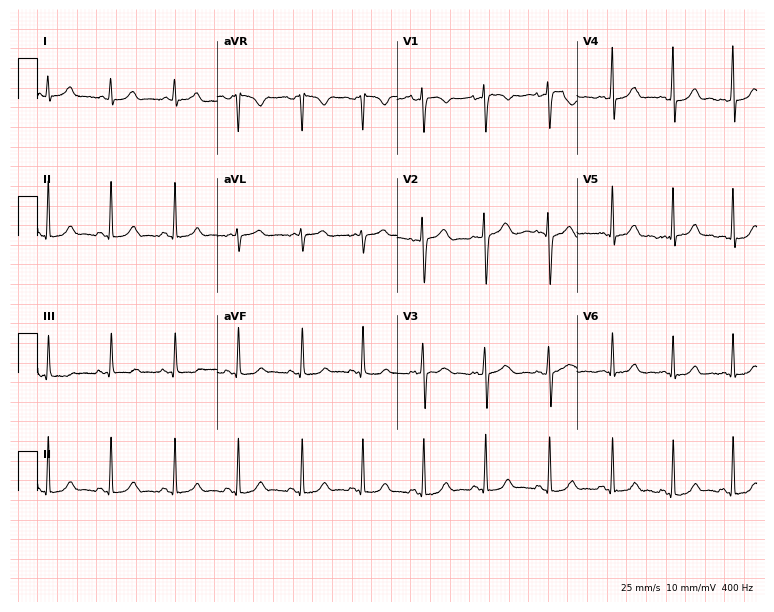
12-lead ECG from a 20-year-old female patient. Labelled as a normal ECG.